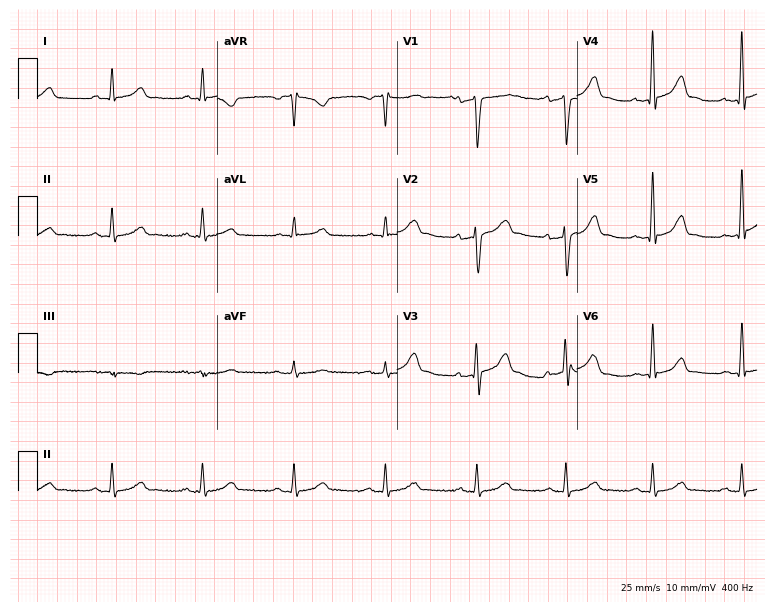
Resting 12-lead electrocardiogram. Patient: a man, 51 years old. None of these six findings is recorded: first-degree AV block, right bundle branch block (RBBB), left bundle branch block (LBBB), sinus bradycardia, atrial fibrillation (AF), sinus tachycardia. Only these six findings were labelled.